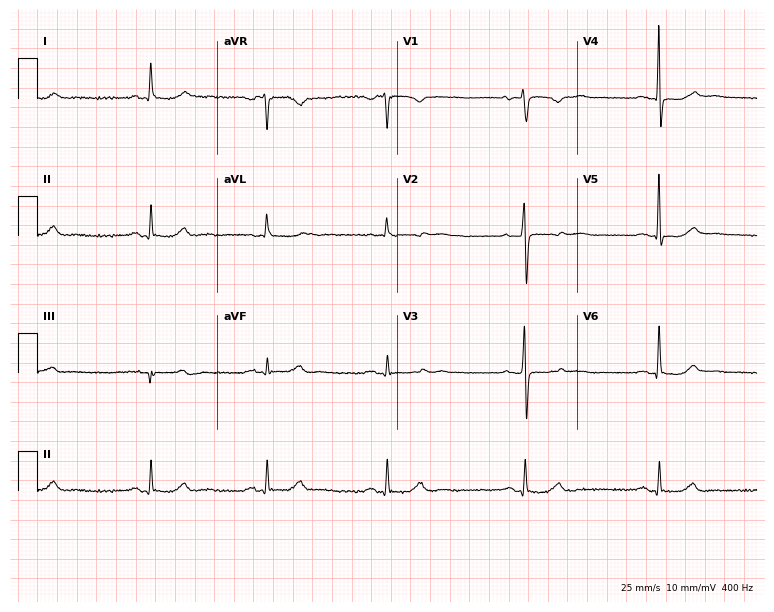
Resting 12-lead electrocardiogram (7.3-second recording at 400 Hz). Patient: a woman, 68 years old. The tracing shows sinus bradycardia (a sinus rate of 50 beats per minute or less).